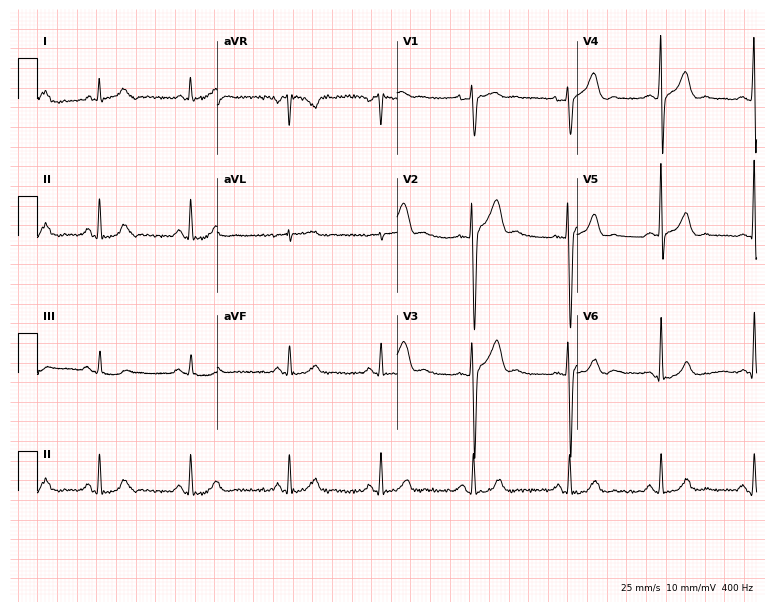
12-lead ECG from a 30-year-old man. Screened for six findings — first-degree AV block, right bundle branch block (RBBB), left bundle branch block (LBBB), sinus bradycardia, atrial fibrillation (AF), sinus tachycardia — none is recorded. Findings outside these six are not listed.